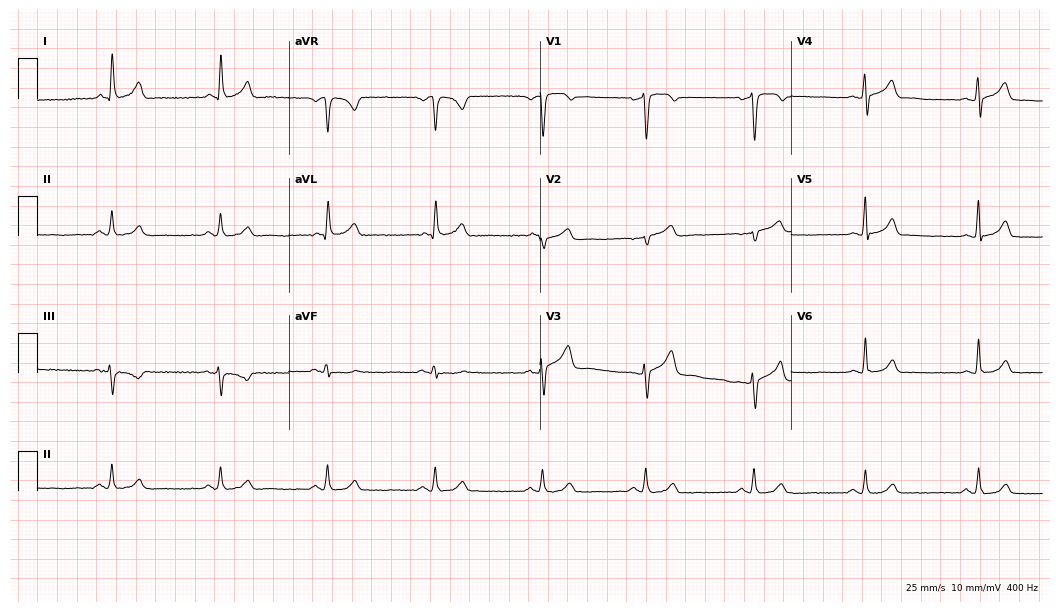
ECG — a woman, 52 years old. Labelled as a normal ECG.